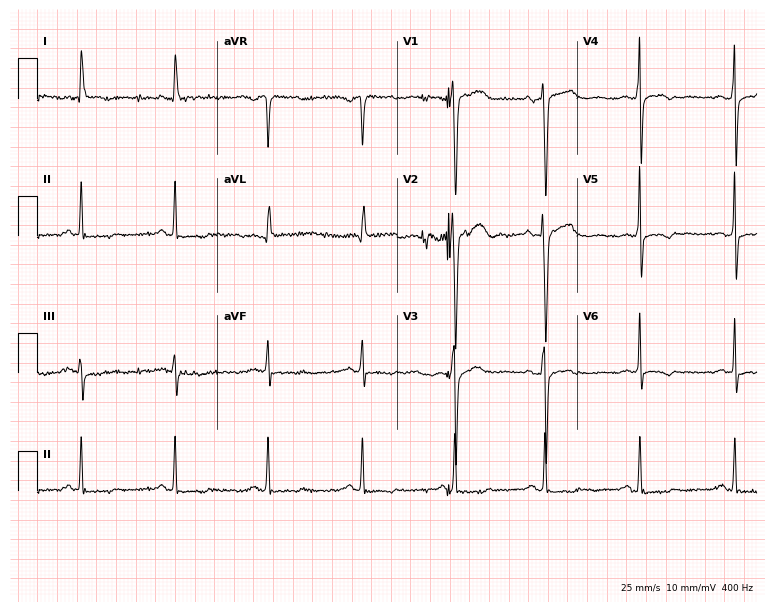
Resting 12-lead electrocardiogram. Patient: a 55-year-old woman. None of these six findings is recorded: first-degree AV block, right bundle branch block, left bundle branch block, sinus bradycardia, atrial fibrillation, sinus tachycardia.